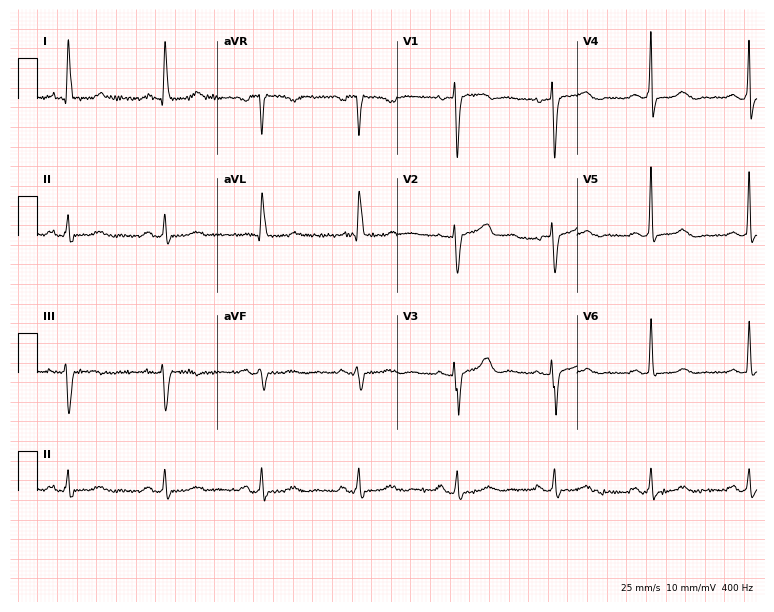
ECG (7.3-second recording at 400 Hz) — a 74-year-old female. Labelled as a normal ECG.